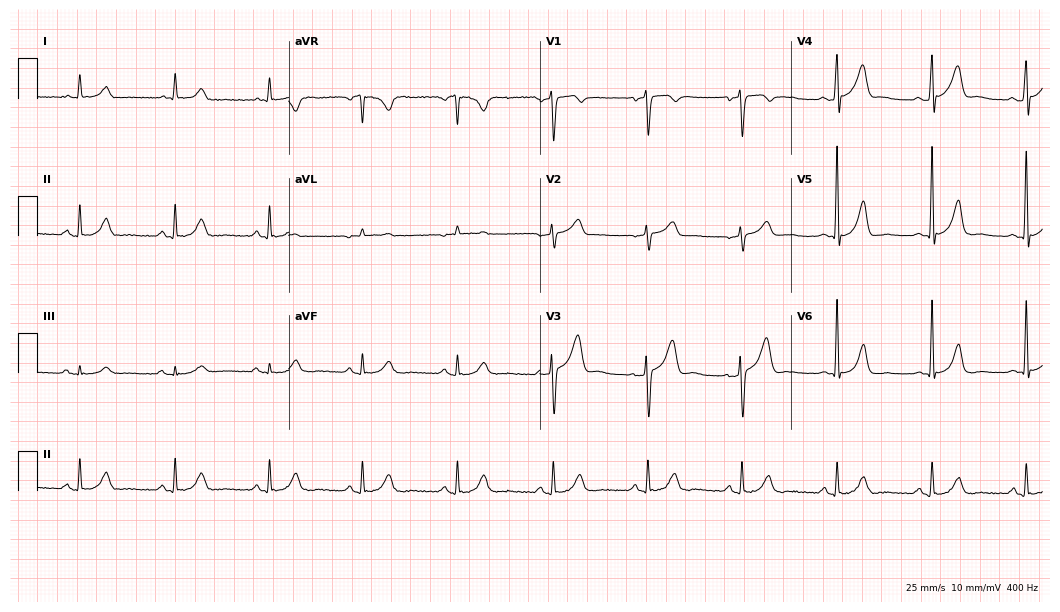
12-lead ECG (10.2-second recording at 400 Hz) from a 53-year-old male patient. Labelled as a normal ECG.